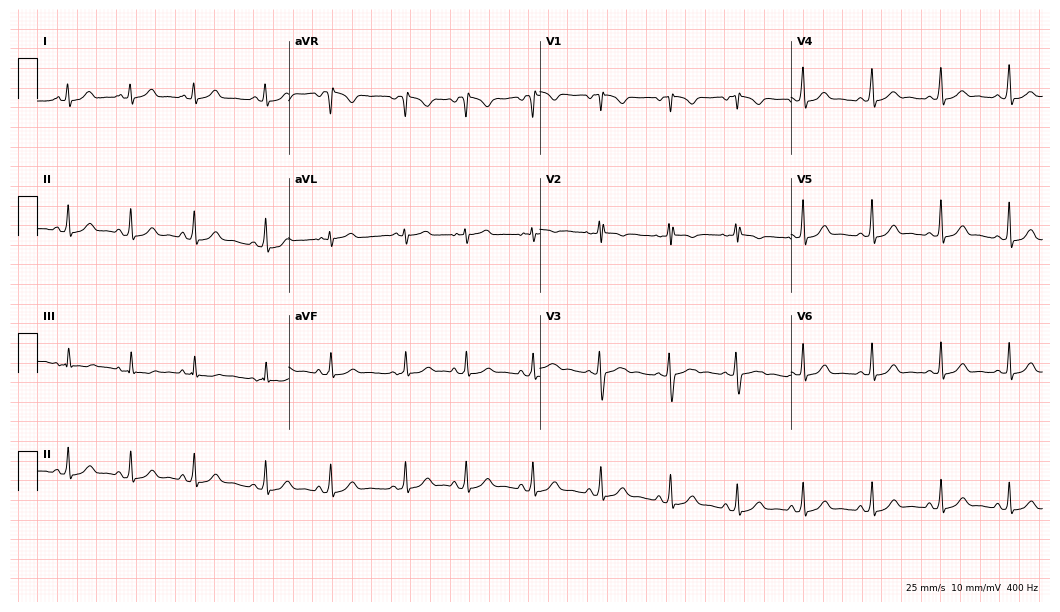
Electrocardiogram, a female patient, 25 years old. Of the six screened findings (first-degree AV block, right bundle branch block, left bundle branch block, sinus bradycardia, atrial fibrillation, sinus tachycardia), none is recorded.